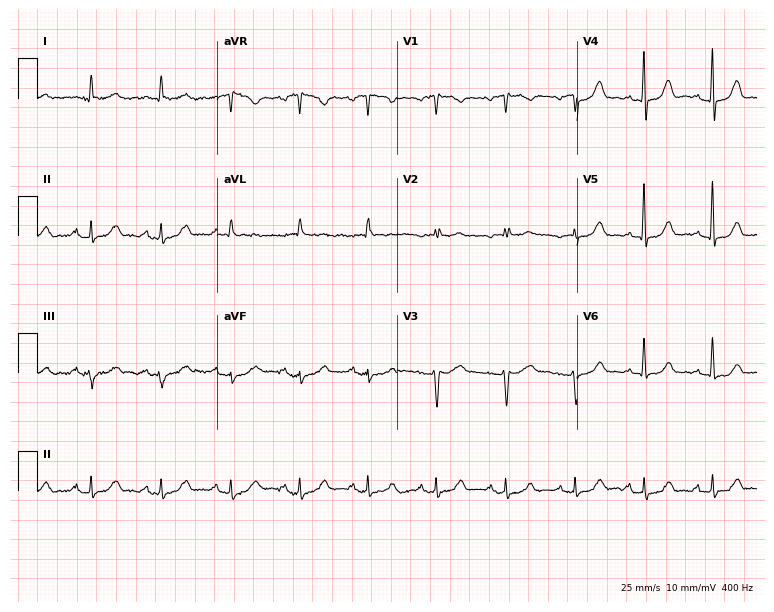
Standard 12-lead ECG recorded from a female, 62 years old (7.3-second recording at 400 Hz). Read as a normal ECG.